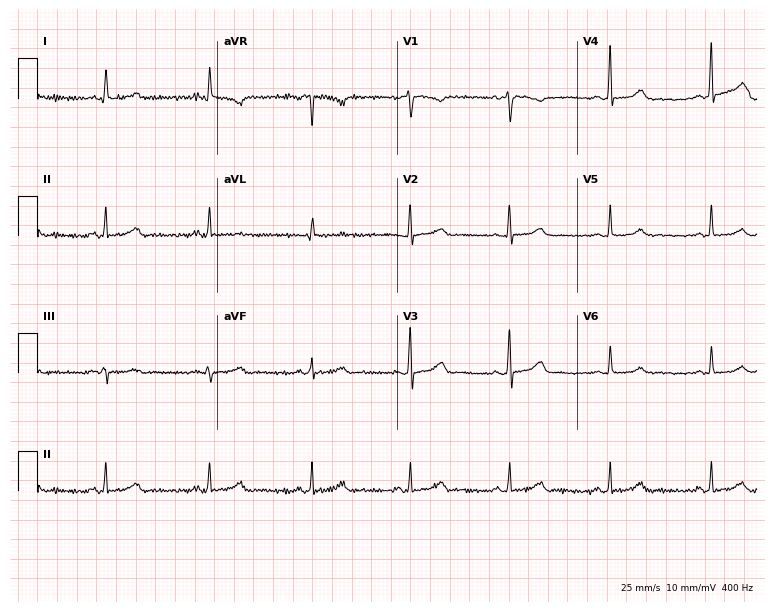
12-lead ECG from a 34-year-old woman. No first-degree AV block, right bundle branch block, left bundle branch block, sinus bradycardia, atrial fibrillation or sinus tachycardia recorded for this tracing.